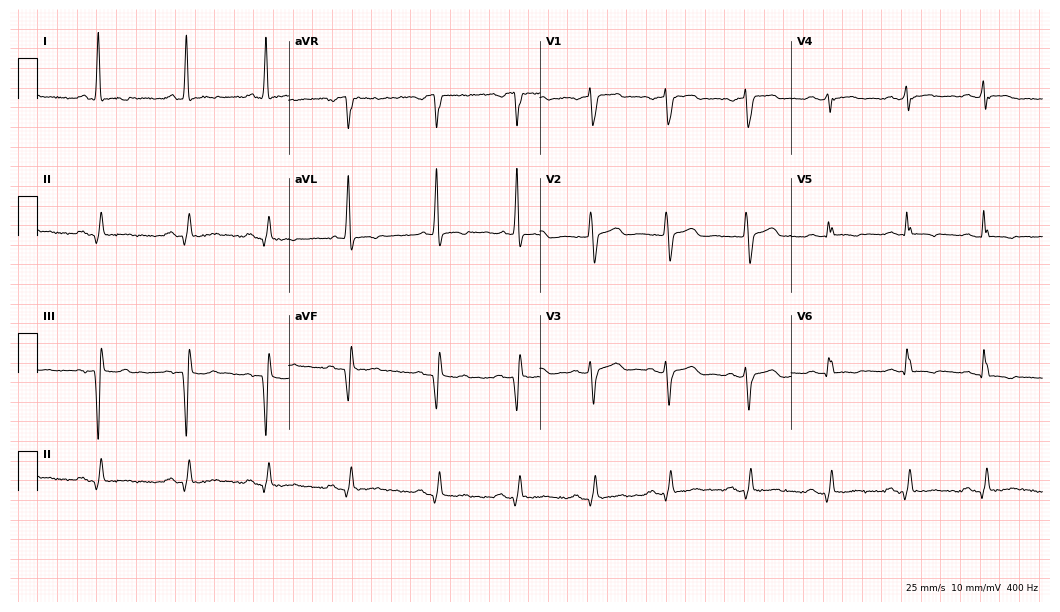
Electrocardiogram (10.2-second recording at 400 Hz), a 50-year-old female. Of the six screened findings (first-degree AV block, right bundle branch block, left bundle branch block, sinus bradycardia, atrial fibrillation, sinus tachycardia), none is recorded.